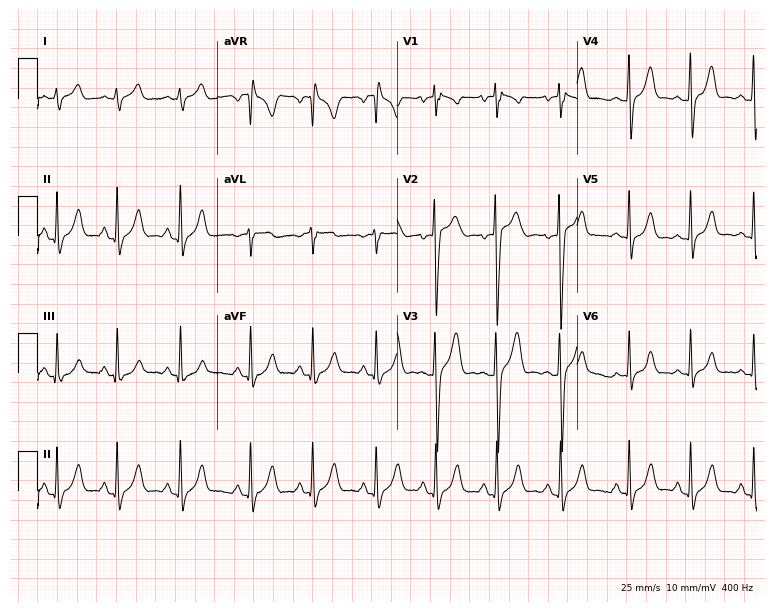
Standard 12-lead ECG recorded from a 31-year-old male. None of these six findings is recorded: first-degree AV block, right bundle branch block, left bundle branch block, sinus bradycardia, atrial fibrillation, sinus tachycardia. Other findings, if any, are not listed.